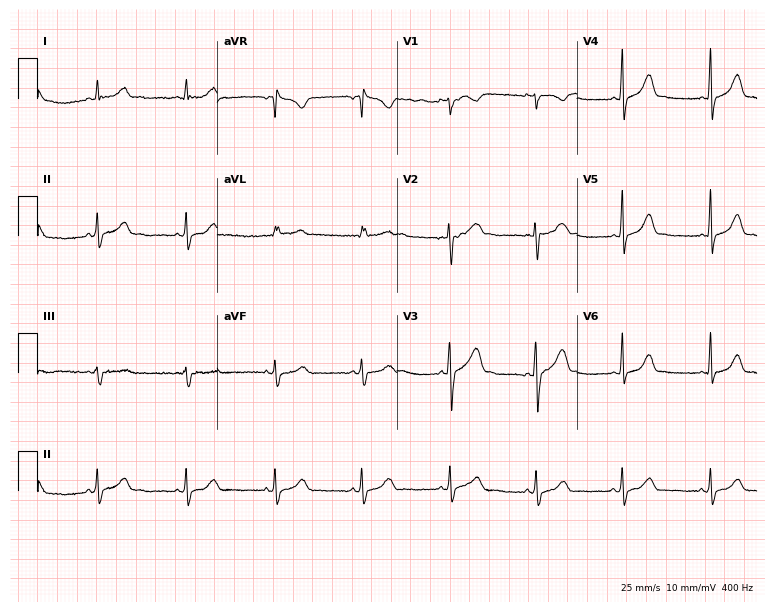
ECG — a 30-year-old female. Screened for six findings — first-degree AV block, right bundle branch block (RBBB), left bundle branch block (LBBB), sinus bradycardia, atrial fibrillation (AF), sinus tachycardia — none is recorded. Only these six findings were labelled.